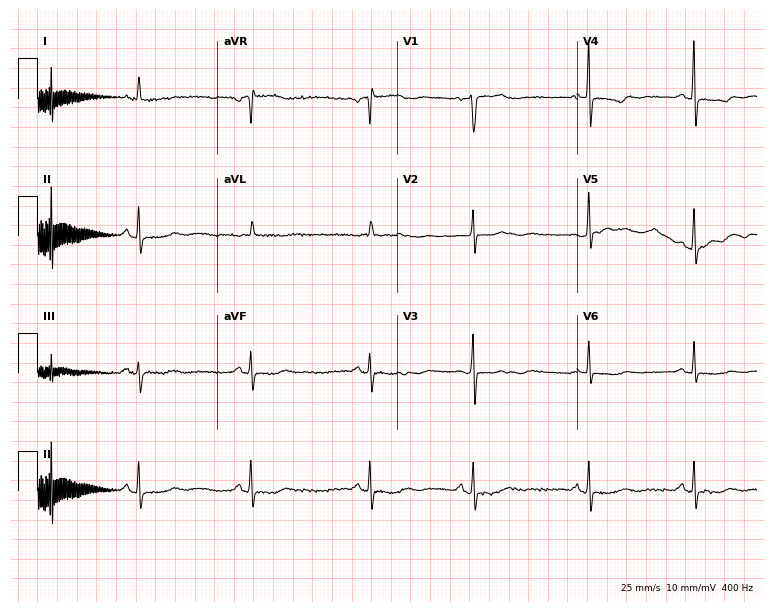
12-lead ECG from a female patient, 81 years old. No first-degree AV block, right bundle branch block, left bundle branch block, sinus bradycardia, atrial fibrillation or sinus tachycardia recorded for this tracing. Findings outside these six are not listed.